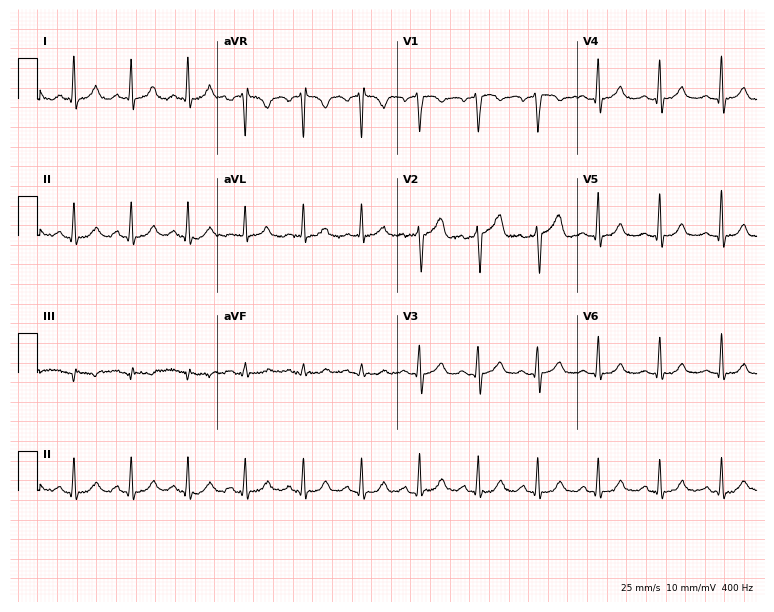
12-lead ECG from a 55-year-old female patient. No first-degree AV block, right bundle branch block, left bundle branch block, sinus bradycardia, atrial fibrillation or sinus tachycardia recorded for this tracing.